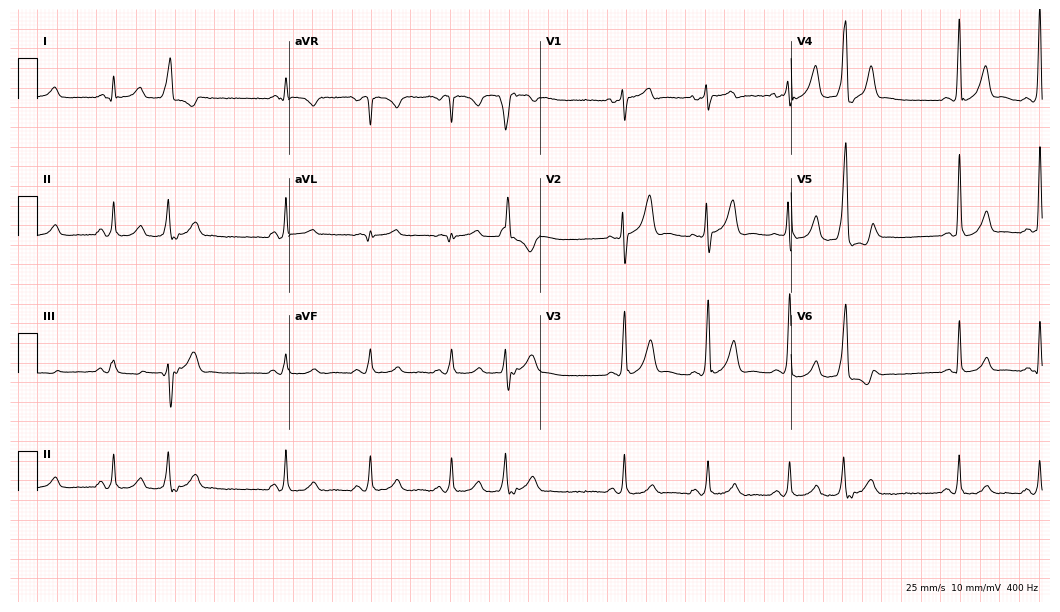
Resting 12-lead electrocardiogram (10.2-second recording at 400 Hz). Patient: a 61-year-old male. Read as a normal ECG.